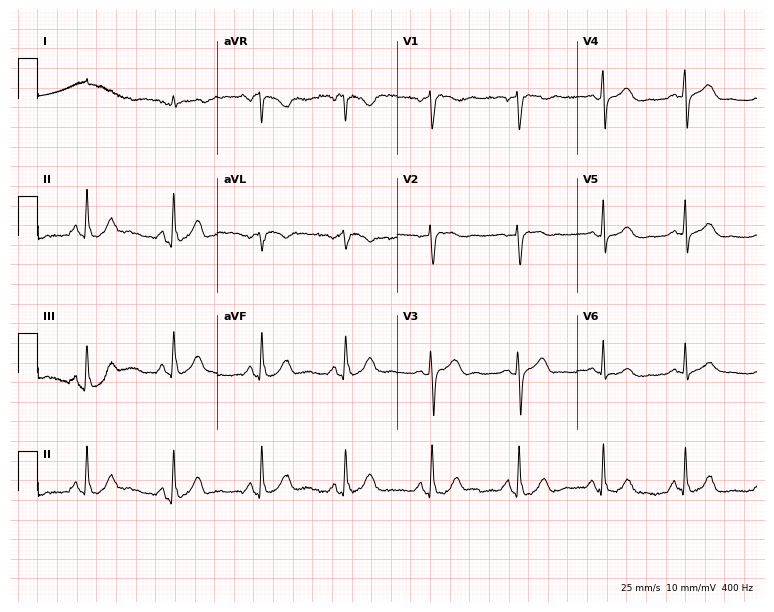
12-lead ECG from an 85-year-old man. Labelled as a normal ECG.